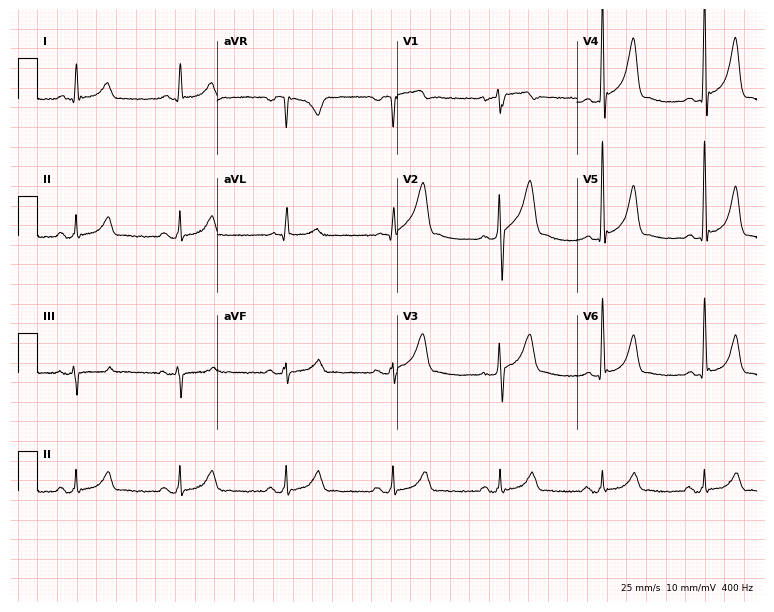
ECG — a male, 59 years old. Labelled as a normal ECG.